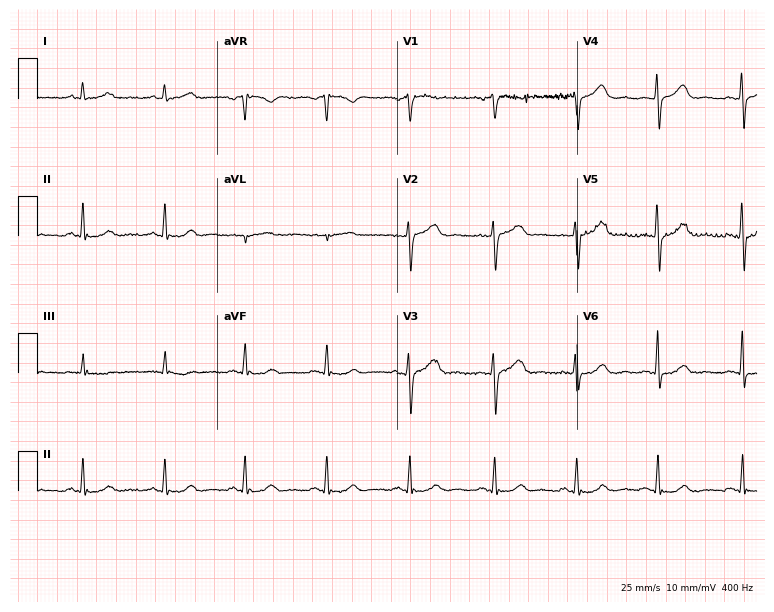
Electrocardiogram (7.3-second recording at 400 Hz), a 56-year-old female patient. Of the six screened findings (first-degree AV block, right bundle branch block, left bundle branch block, sinus bradycardia, atrial fibrillation, sinus tachycardia), none is recorded. Only these six findings were labelled.